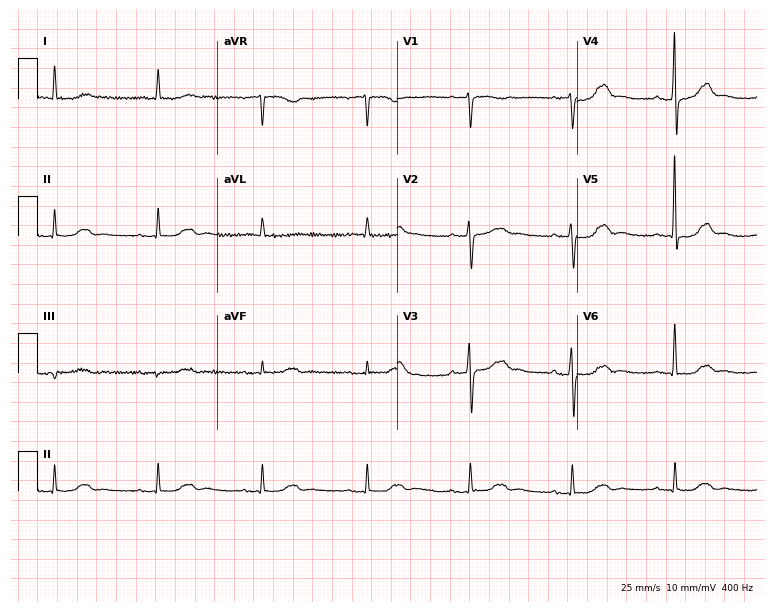
12-lead ECG from a 68-year-old woman (7.3-second recording at 400 Hz). Recorded interpretation: within normal limits.